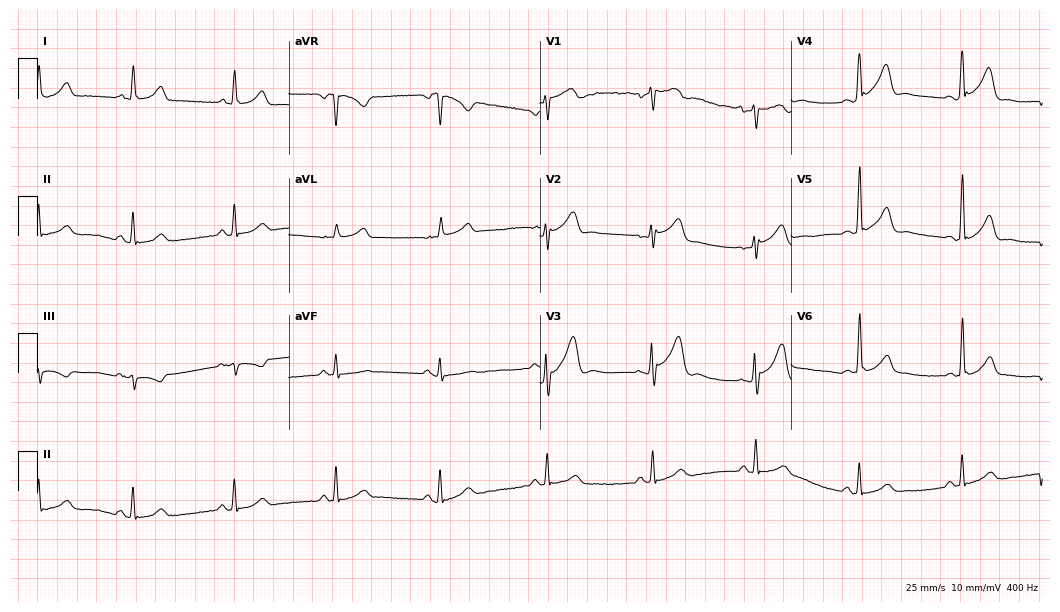
Resting 12-lead electrocardiogram (10.2-second recording at 400 Hz). Patient: a 41-year-old male. Read as a normal ECG.